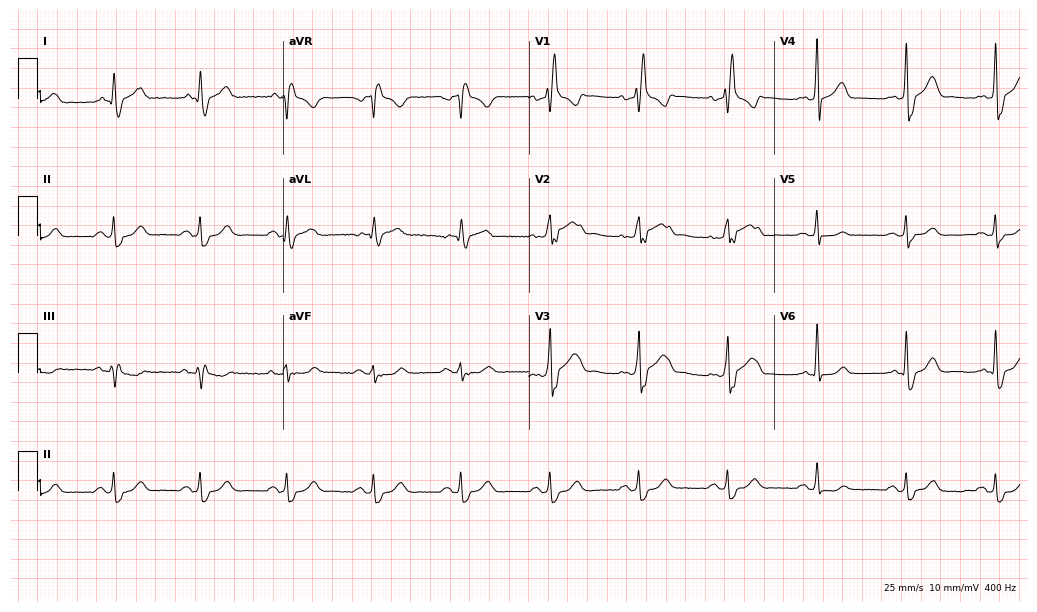
Standard 12-lead ECG recorded from a 67-year-old male patient. None of these six findings is recorded: first-degree AV block, right bundle branch block (RBBB), left bundle branch block (LBBB), sinus bradycardia, atrial fibrillation (AF), sinus tachycardia. Other findings, if any, are not listed.